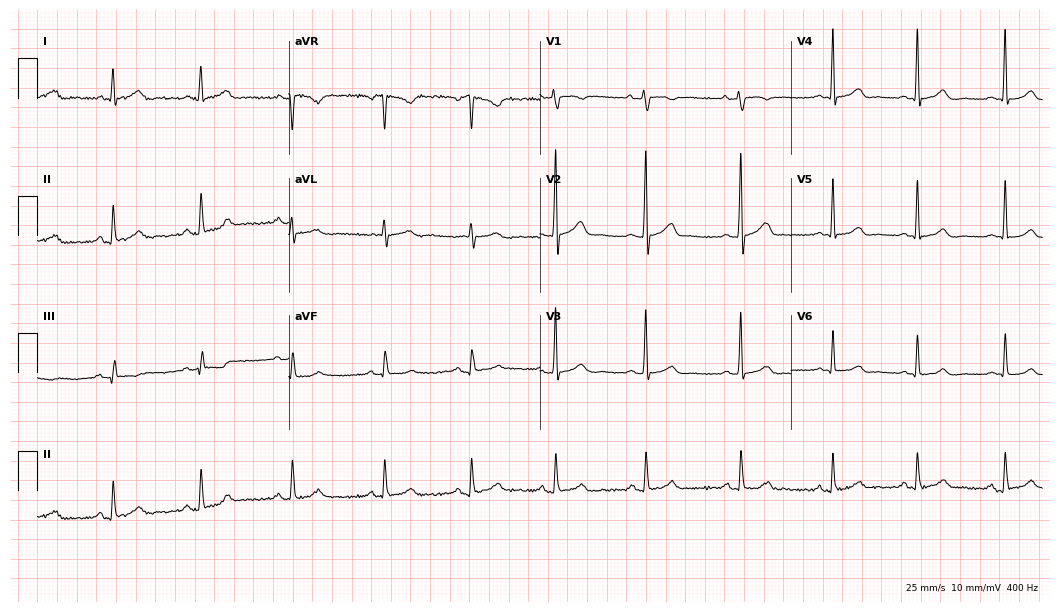
Electrocardiogram (10.2-second recording at 400 Hz), a female, 22 years old. Overall reading on record: normal ECG.